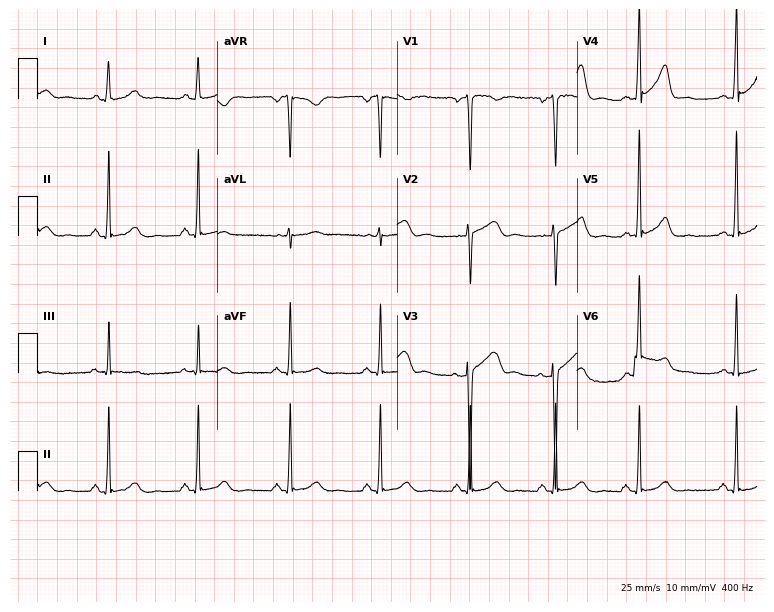
Standard 12-lead ECG recorded from a 47-year-old female patient (7.3-second recording at 400 Hz). Read as a normal ECG.